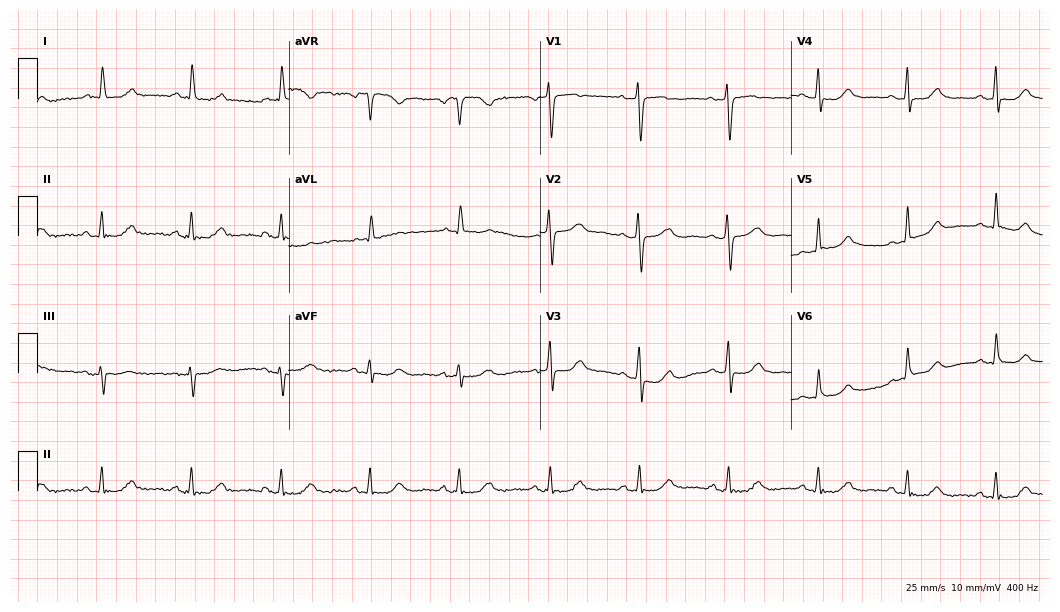
ECG — a 71-year-old woman. Screened for six findings — first-degree AV block, right bundle branch block, left bundle branch block, sinus bradycardia, atrial fibrillation, sinus tachycardia — none is recorded.